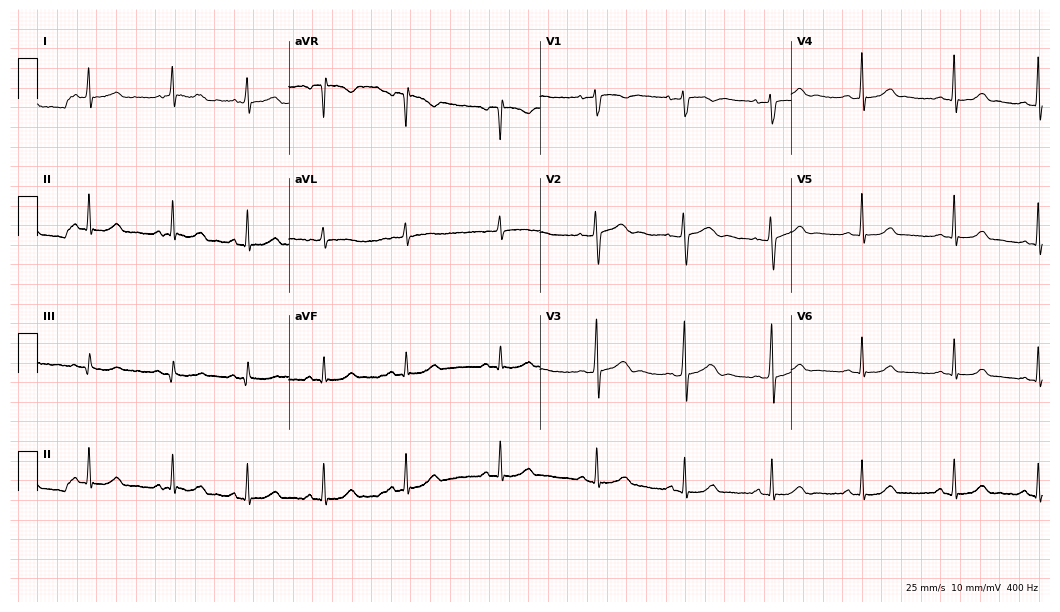
Electrocardiogram (10.2-second recording at 400 Hz), a woman, 24 years old. Overall reading on record: normal ECG.